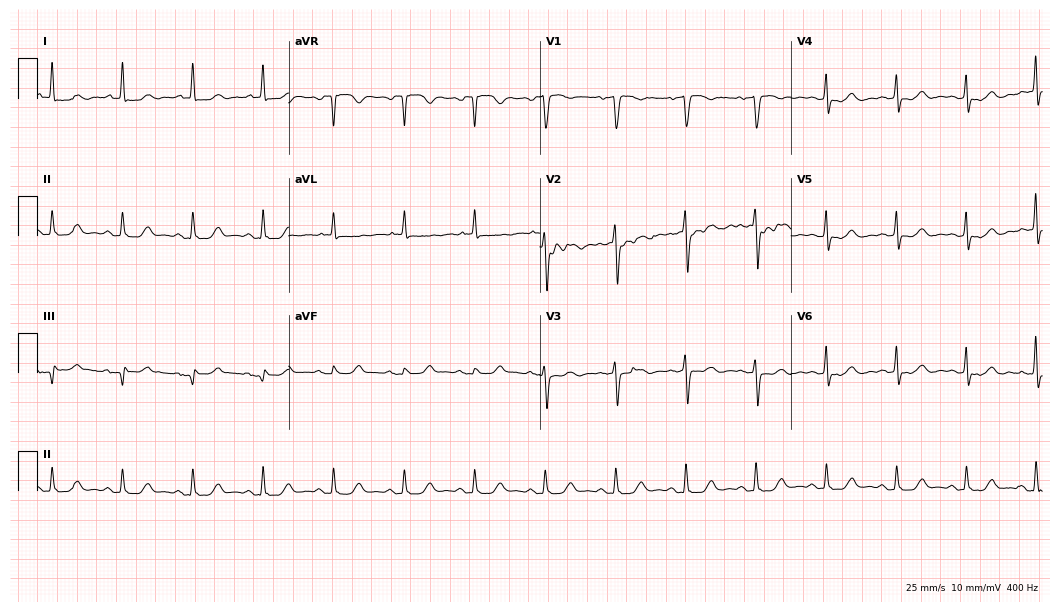
ECG — a female patient, 67 years old. Labelled as a normal ECG.